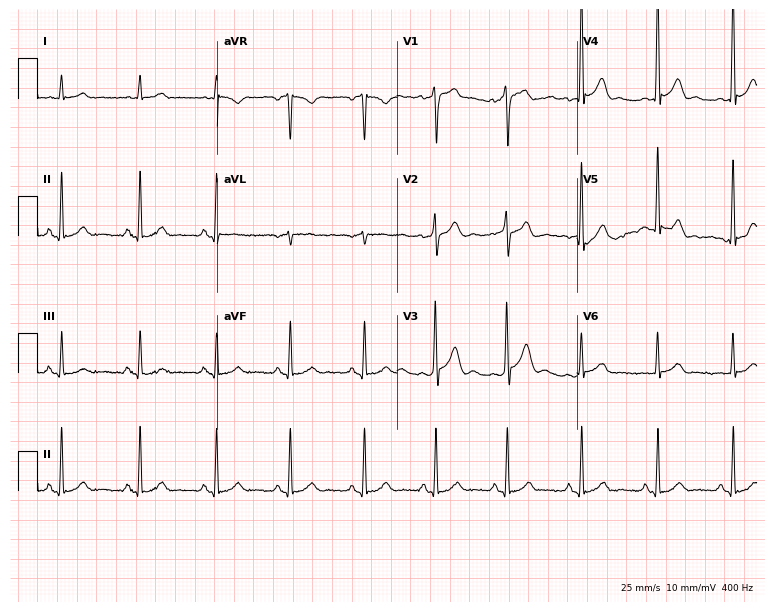
Electrocardiogram (7.3-second recording at 400 Hz), a male patient, 40 years old. Overall reading on record: normal ECG.